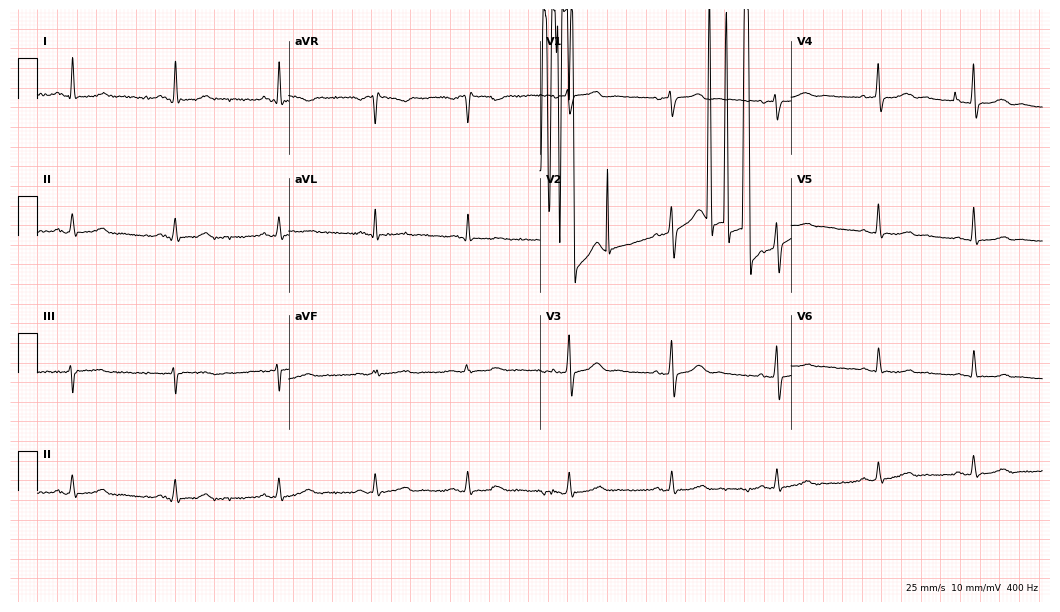
ECG — a 54-year-old woman. Screened for six findings — first-degree AV block, right bundle branch block (RBBB), left bundle branch block (LBBB), sinus bradycardia, atrial fibrillation (AF), sinus tachycardia — none is recorded. Only these six findings were labelled.